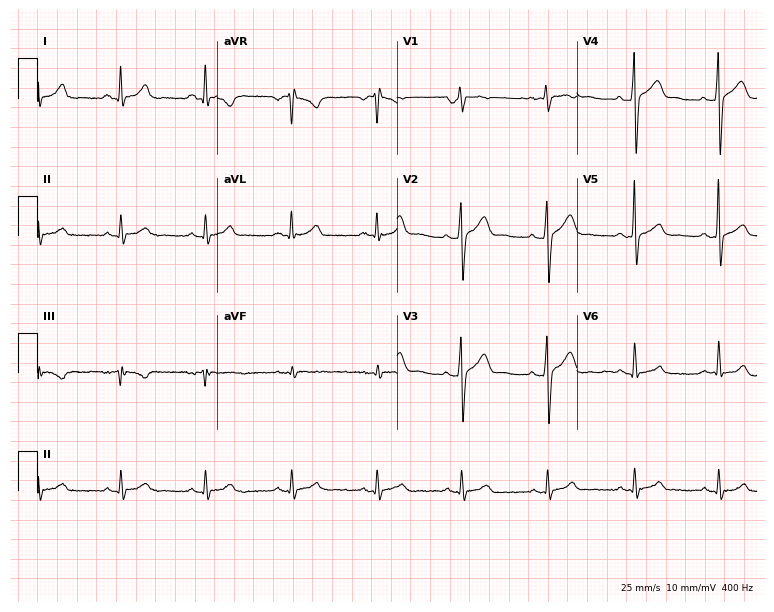
Resting 12-lead electrocardiogram. Patient: a 30-year-old man. Read as a normal ECG.